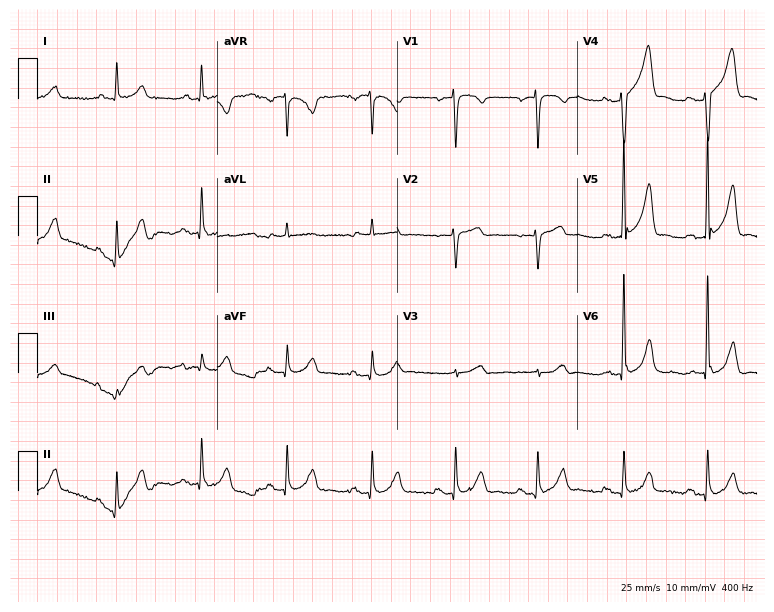
12-lead ECG from a 78-year-old male patient (7.3-second recording at 400 Hz). No first-degree AV block, right bundle branch block, left bundle branch block, sinus bradycardia, atrial fibrillation or sinus tachycardia recorded for this tracing. Other findings, if any, are not listed.